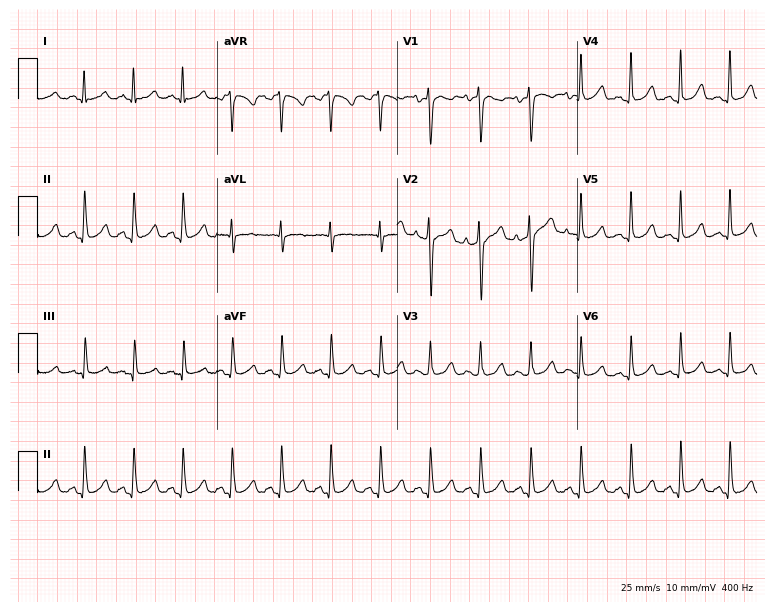
Standard 12-lead ECG recorded from a woman, 32 years old. The tracing shows sinus tachycardia (a sinus rate of 100 beats per minute or more).